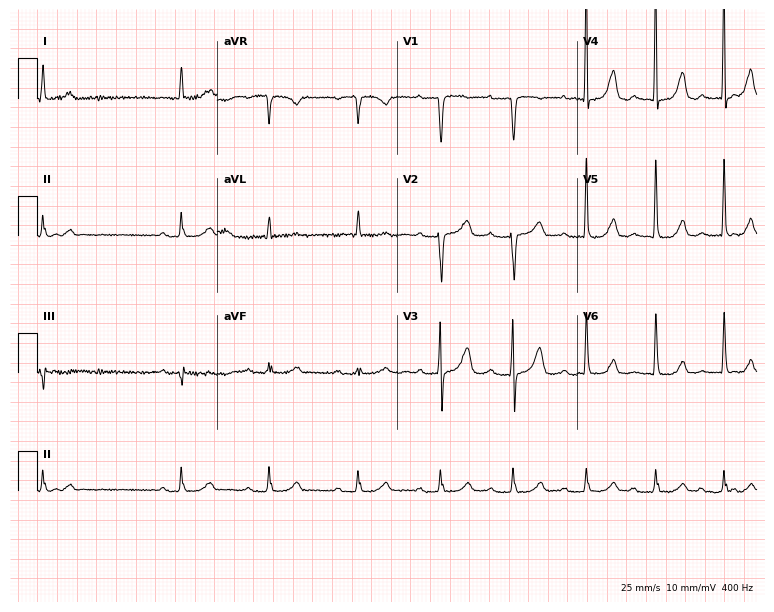
Resting 12-lead electrocardiogram (7.3-second recording at 400 Hz). Patient: a female, 89 years old. The tracing shows first-degree AV block.